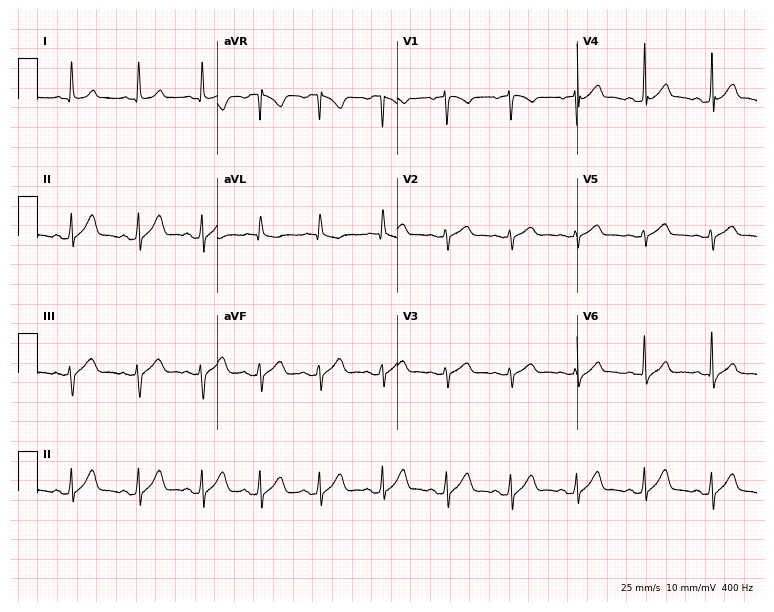
Standard 12-lead ECG recorded from a 50-year-old male patient. None of these six findings is recorded: first-degree AV block, right bundle branch block, left bundle branch block, sinus bradycardia, atrial fibrillation, sinus tachycardia.